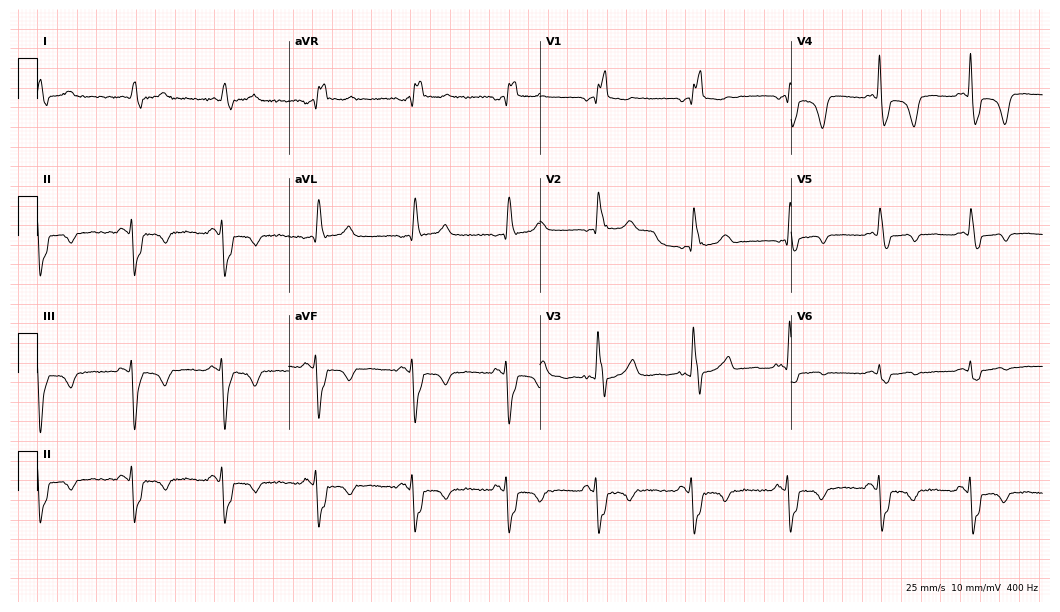
ECG — a 67-year-old female patient. Findings include right bundle branch block.